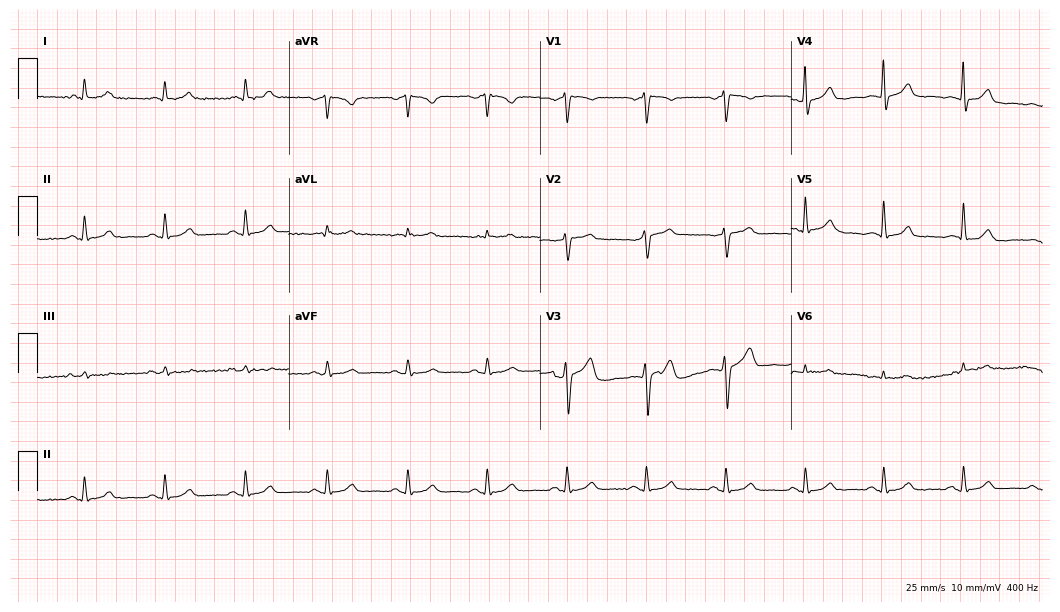
ECG (10.2-second recording at 400 Hz) — a 57-year-old man. Labelled as a normal ECG.